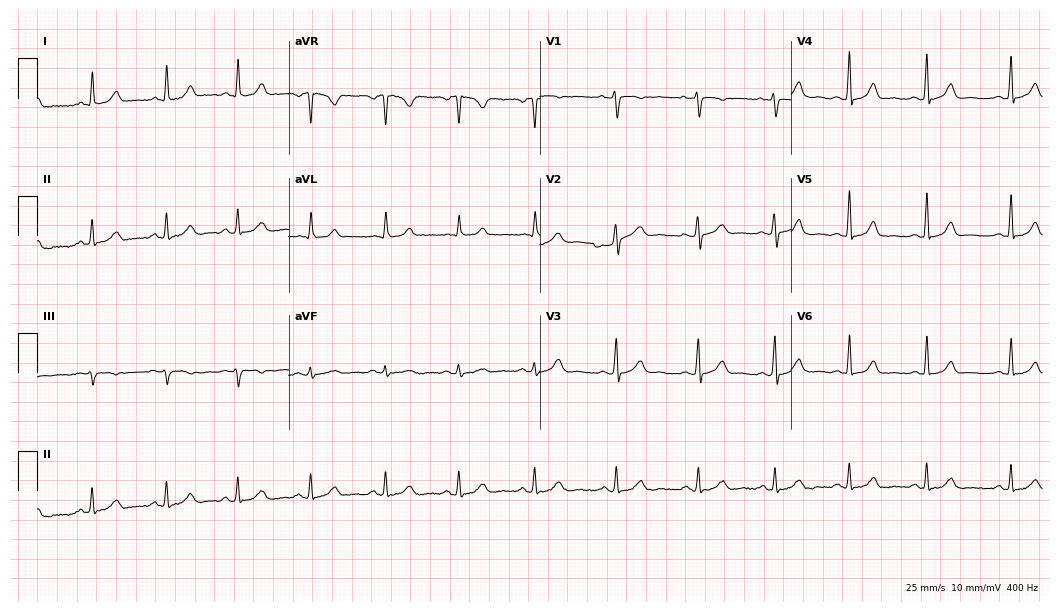
Standard 12-lead ECG recorded from a 34-year-old female (10.2-second recording at 400 Hz). Read as a normal ECG.